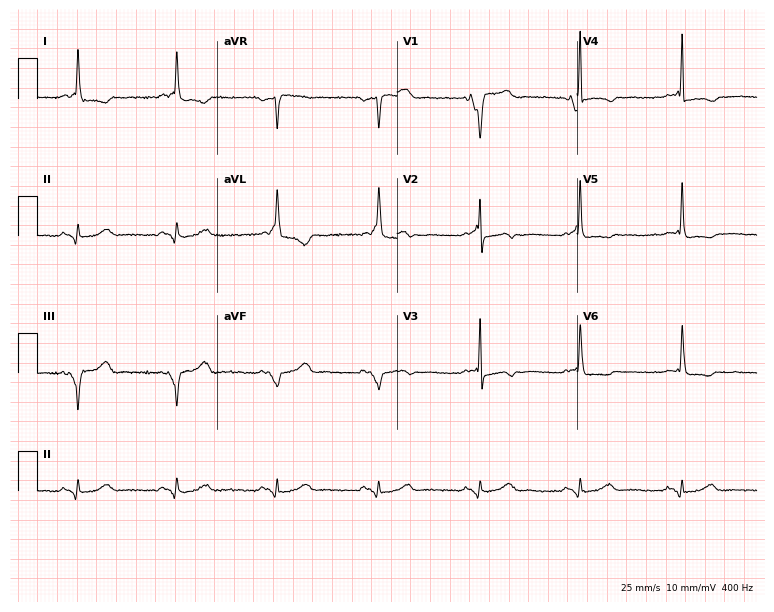
ECG — a female, 84 years old. Screened for six findings — first-degree AV block, right bundle branch block, left bundle branch block, sinus bradycardia, atrial fibrillation, sinus tachycardia — none is recorded. Findings outside these six are not listed.